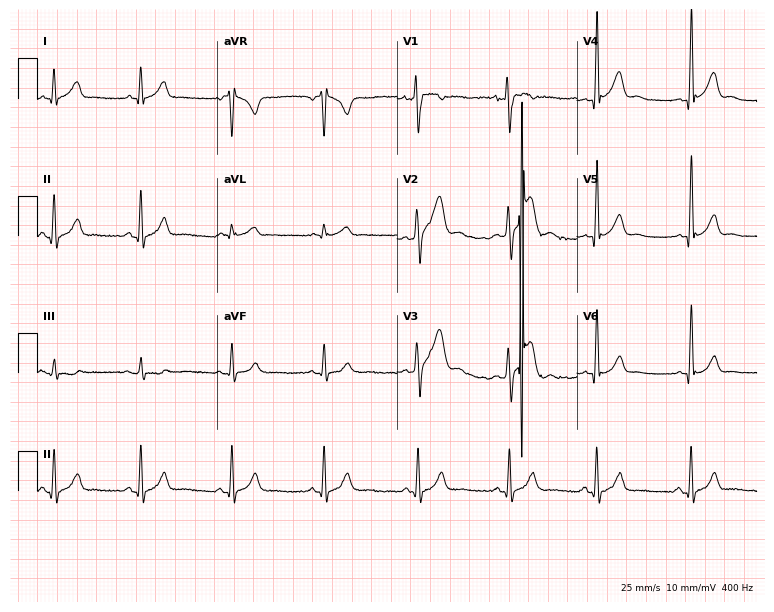
ECG (7.3-second recording at 400 Hz) — a male patient, 26 years old. Screened for six findings — first-degree AV block, right bundle branch block (RBBB), left bundle branch block (LBBB), sinus bradycardia, atrial fibrillation (AF), sinus tachycardia — none is recorded.